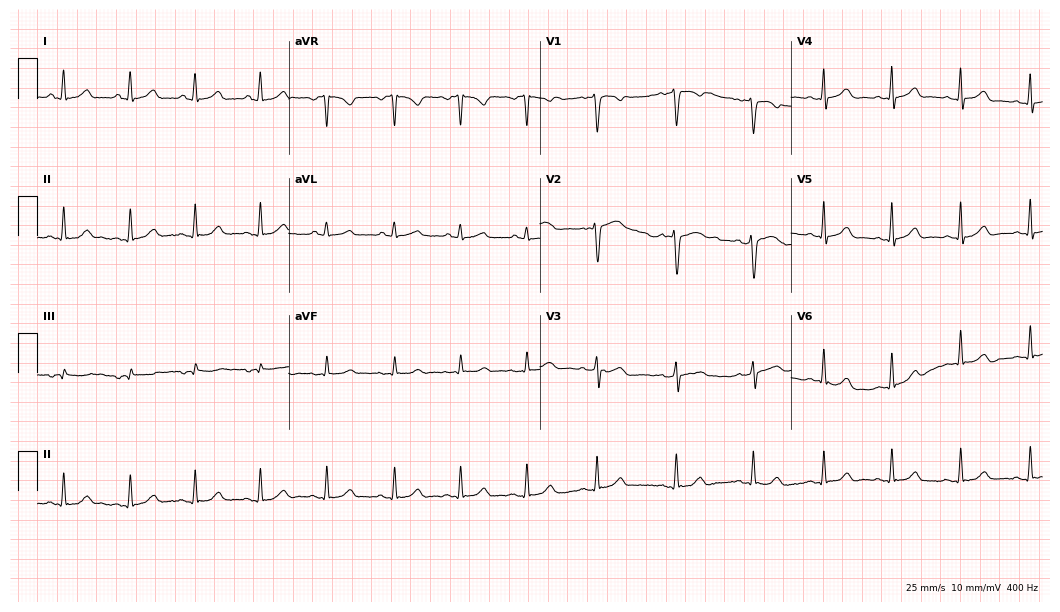
Resting 12-lead electrocardiogram (10.2-second recording at 400 Hz). Patient: a 41-year-old woman. Read as a normal ECG.